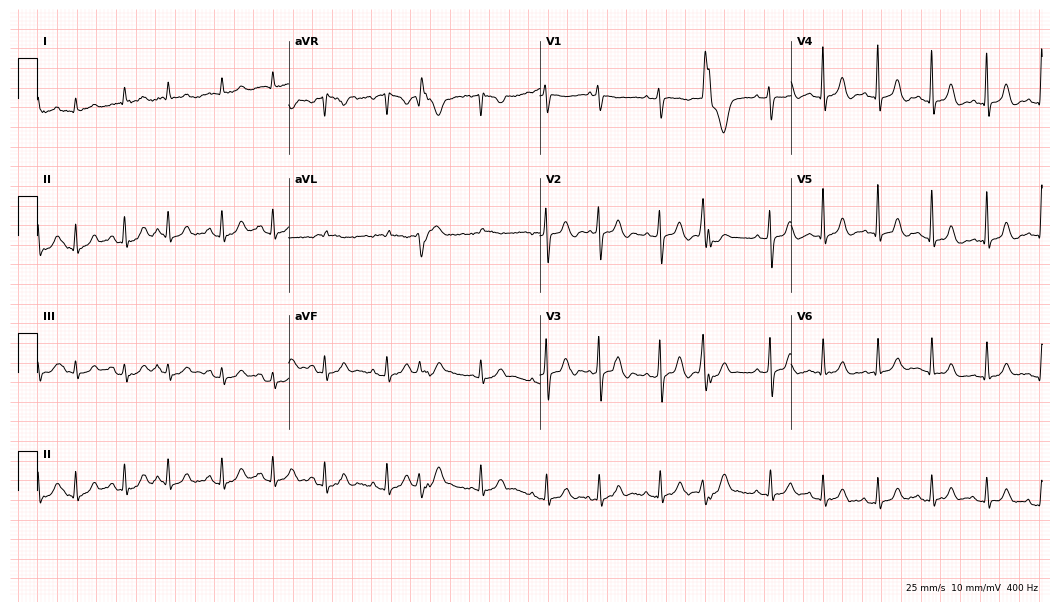
12-lead ECG from a female patient, 74 years old (10.2-second recording at 400 Hz). Shows sinus tachycardia (a sinus rate of 100 beats per minute or more).